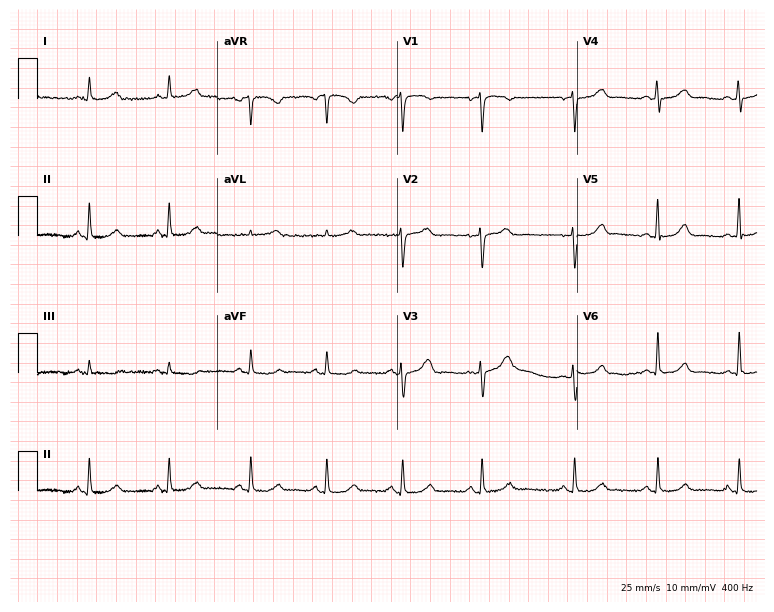
ECG (7.3-second recording at 400 Hz) — a female, 41 years old. Screened for six findings — first-degree AV block, right bundle branch block, left bundle branch block, sinus bradycardia, atrial fibrillation, sinus tachycardia — none is recorded.